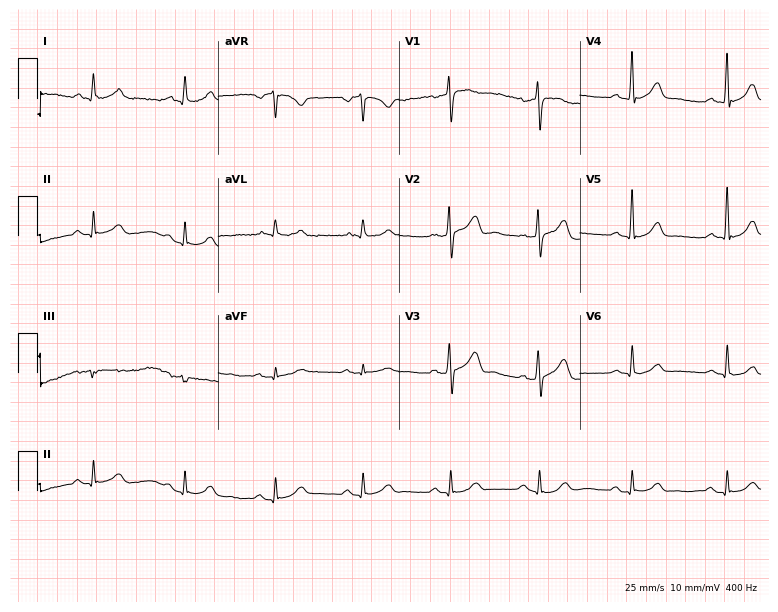
12-lead ECG (7.4-second recording at 400 Hz) from a man, 66 years old. Screened for six findings — first-degree AV block, right bundle branch block, left bundle branch block, sinus bradycardia, atrial fibrillation, sinus tachycardia — none is recorded.